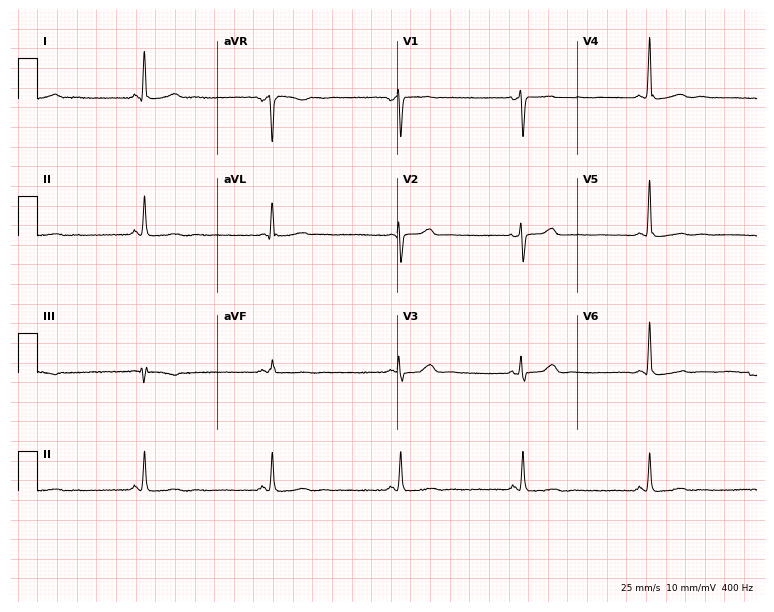
Standard 12-lead ECG recorded from a female patient, 59 years old. The tracing shows sinus bradycardia (a sinus rate of 50 beats per minute or less).